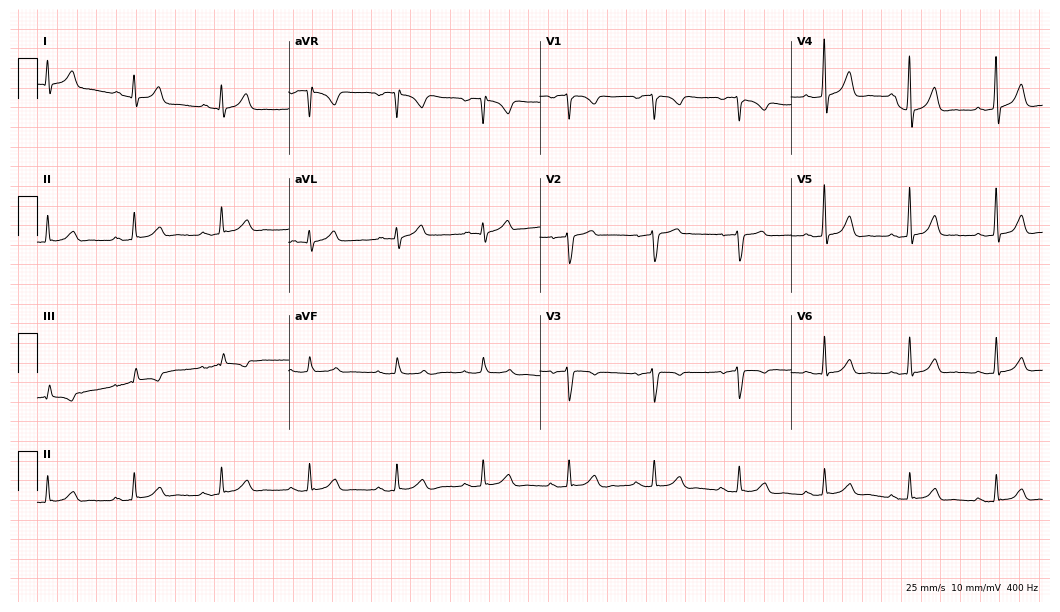
12-lead ECG from a 45-year-old male. Screened for six findings — first-degree AV block, right bundle branch block, left bundle branch block, sinus bradycardia, atrial fibrillation, sinus tachycardia — none is recorded.